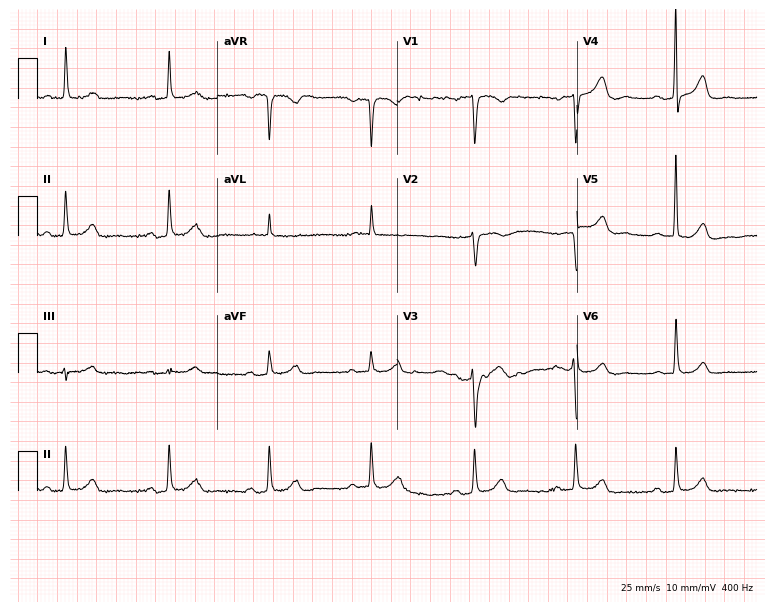
Electrocardiogram (7.3-second recording at 400 Hz), a 75-year-old female patient. Of the six screened findings (first-degree AV block, right bundle branch block (RBBB), left bundle branch block (LBBB), sinus bradycardia, atrial fibrillation (AF), sinus tachycardia), none is recorded. Other findings, if any, are not listed.